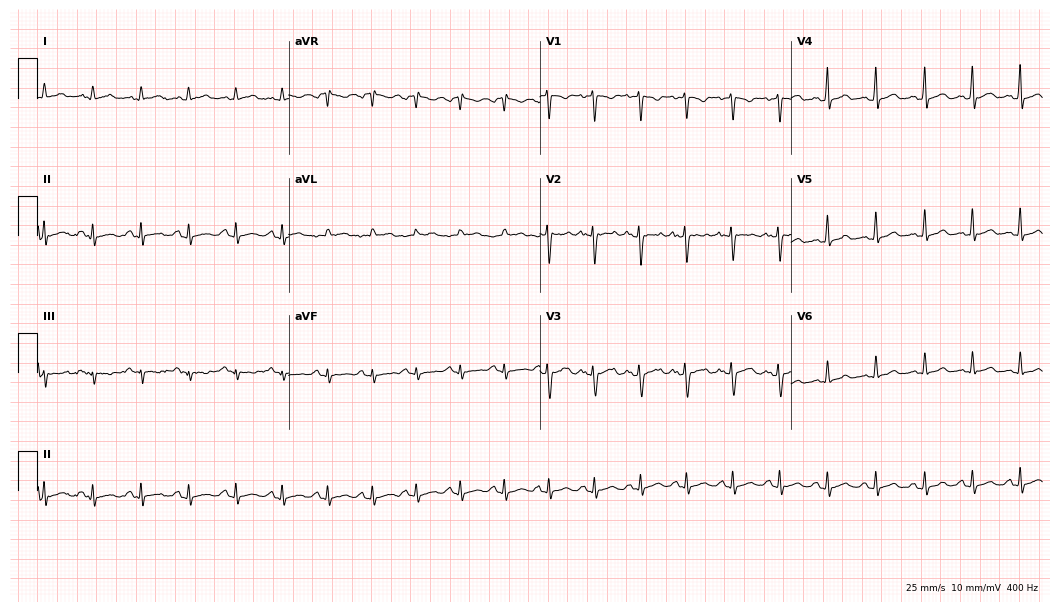
Electrocardiogram (10.2-second recording at 400 Hz), a 28-year-old female patient. Of the six screened findings (first-degree AV block, right bundle branch block, left bundle branch block, sinus bradycardia, atrial fibrillation, sinus tachycardia), none is recorded.